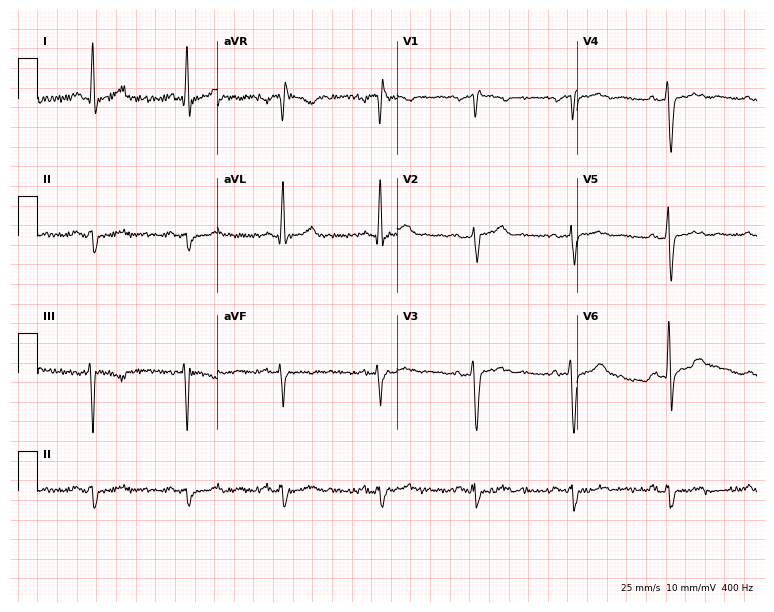
Electrocardiogram, a 46-year-old man. Of the six screened findings (first-degree AV block, right bundle branch block, left bundle branch block, sinus bradycardia, atrial fibrillation, sinus tachycardia), none is recorded. Other findings, if any, are not listed.